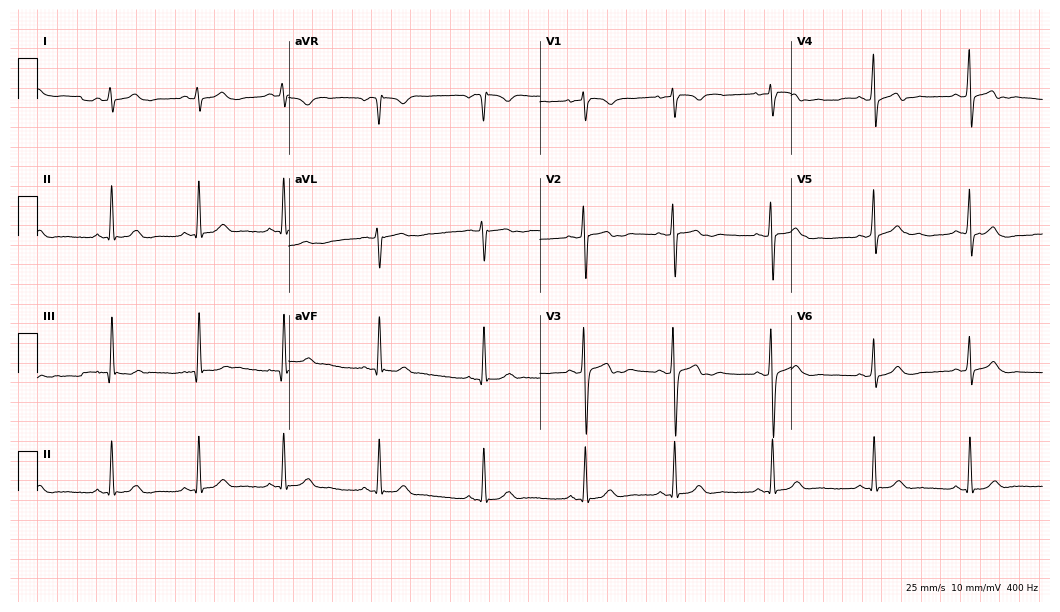
Electrocardiogram, a woman, 20 years old. Of the six screened findings (first-degree AV block, right bundle branch block, left bundle branch block, sinus bradycardia, atrial fibrillation, sinus tachycardia), none is recorded.